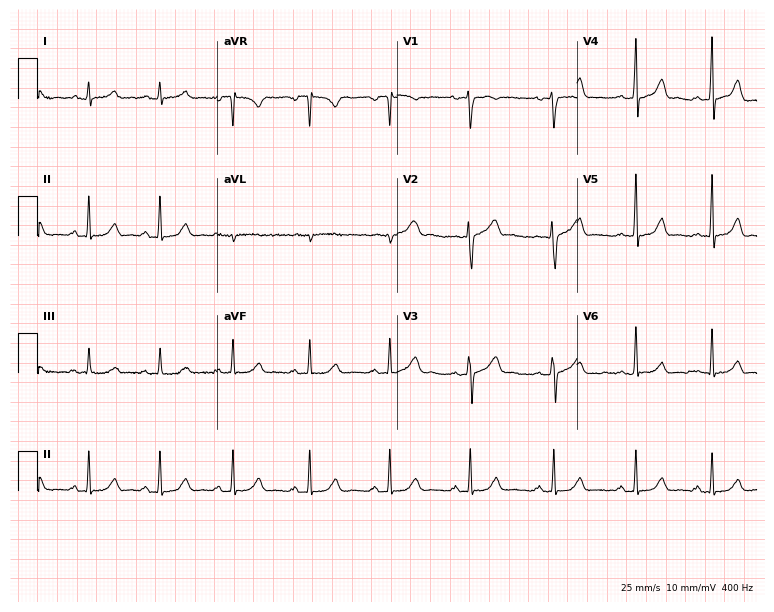
Standard 12-lead ECG recorded from a 27-year-old female (7.3-second recording at 400 Hz). Read as a normal ECG.